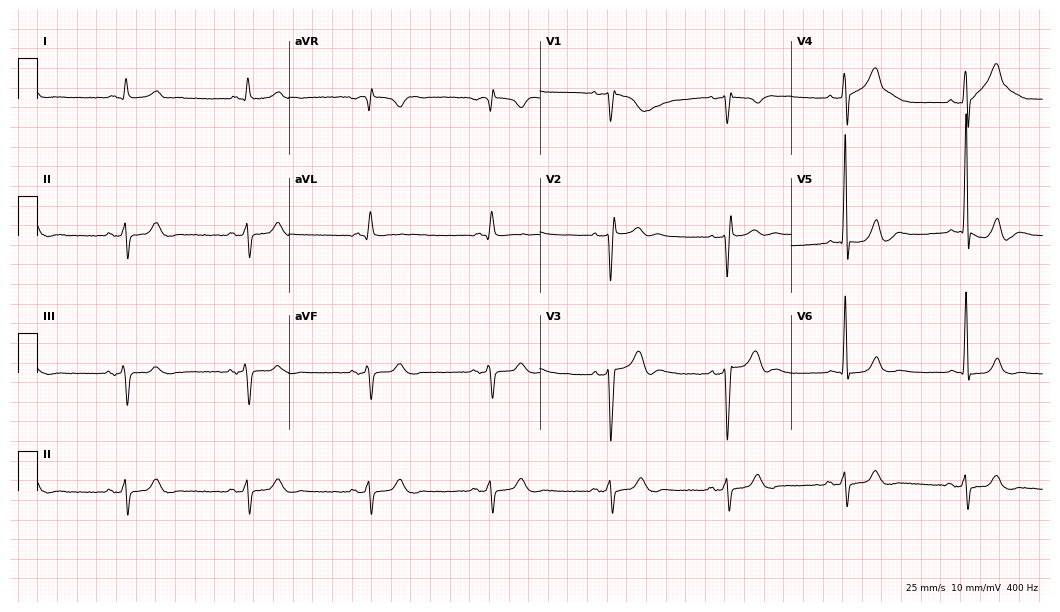
12-lead ECG (10.2-second recording at 400 Hz) from a man, 48 years old. Findings include right bundle branch block (RBBB).